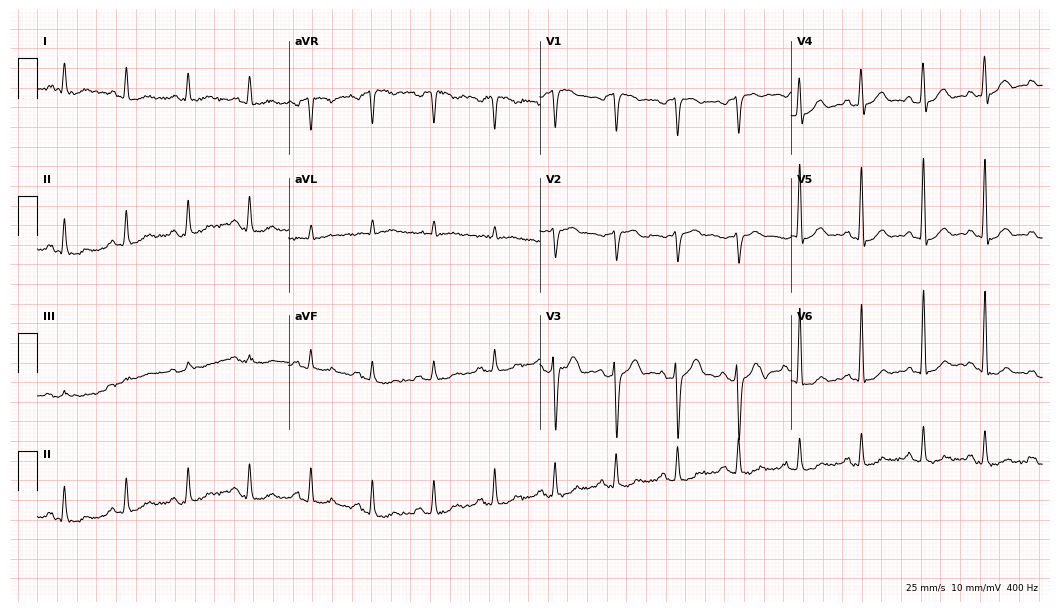
12-lead ECG (10.2-second recording at 400 Hz) from a 65-year-old male. Screened for six findings — first-degree AV block, right bundle branch block, left bundle branch block, sinus bradycardia, atrial fibrillation, sinus tachycardia — none is recorded.